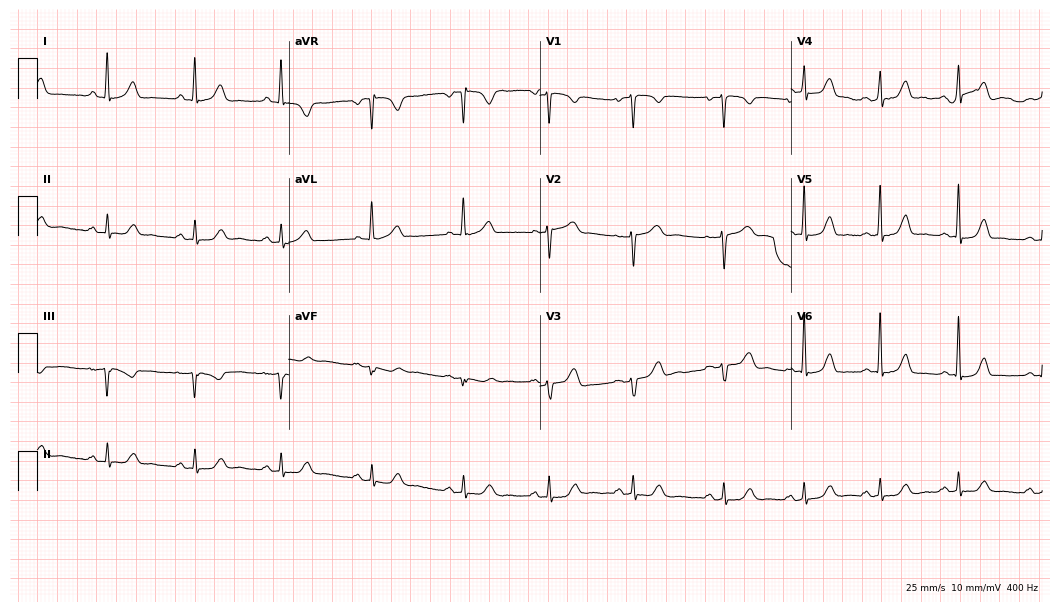
Resting 12-lead electrocardiogram. Patient: a woman, 36 years old. None of these six findings is recorded: first-degree AV block, right bundle branch block (RBBB), left bundle branch block (LBBB), sinus bradycardia, atrial fibrillation (AF), sinus tachycardia.